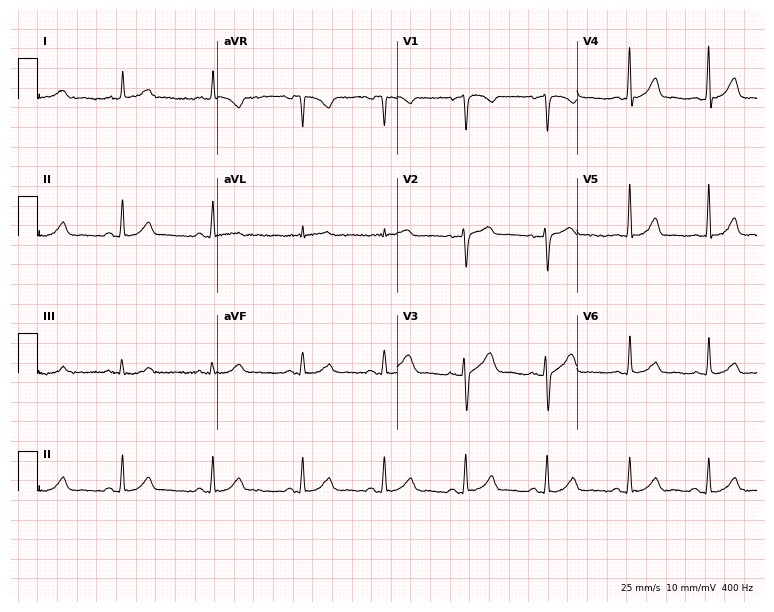
12-lead ECG from a woman, 39 years old. Recorded interpretation: within normal limits.